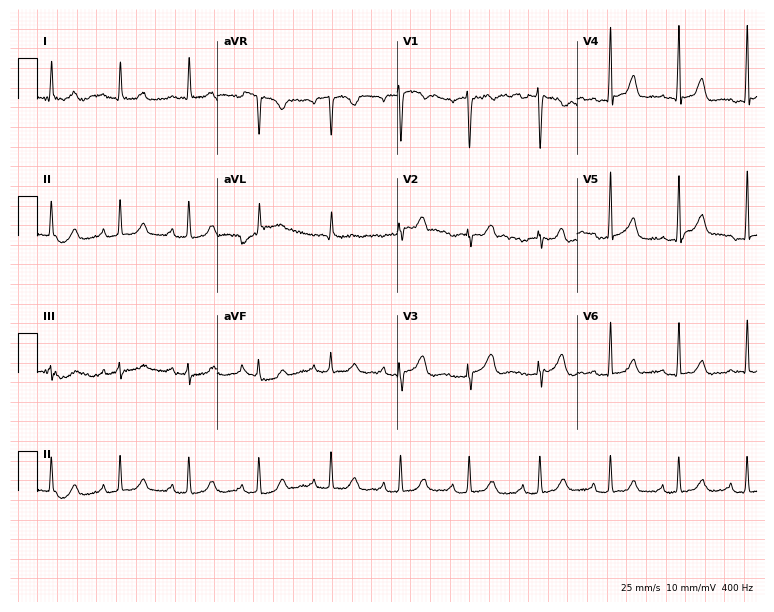
ECG — a woman, 48 years old. Screened for six findings — first-degree AV block, right bundle branch block (RBBB), left bundle branch block (LBBB), sinus bradycardia, atrial fibrillation (AF), sinus tachycardia — none is recorded.